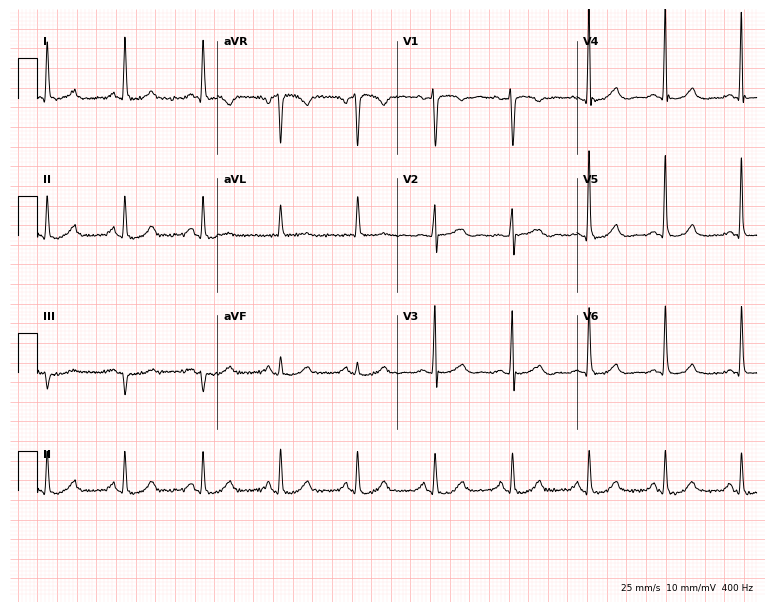
ECG (7.3-second recording at 400 Hz) — a female patient, 71 years old. Screened for six findings — first-degree AV block, right bundle branch block, left bundle branch block, sinus bradycardia, atrial fibrillation, sinus tachycardia — none is recorded. Only these six findings were labelled.